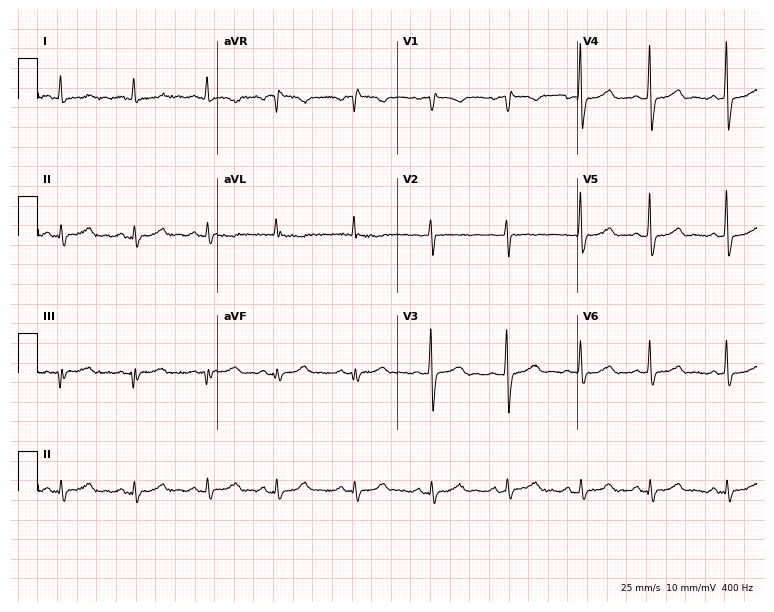
12-lead ECG (7.3-second recording at 400 Hz) from a 72-year-old female patient. Labelled as a normal ECG.